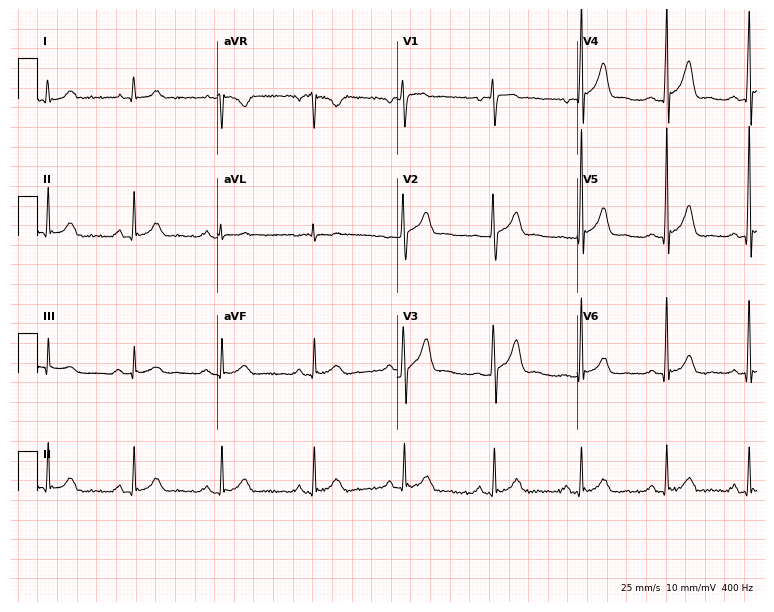
Standard 12-lead ECG recorded from a 41-year-old man. None of these six findings is recorded: first-degree AV block, right bundle branch block, left bundle branch block, sinus bradycardia, atrial fibrillation, sinus tachycardia. Only these six findings were labelled.